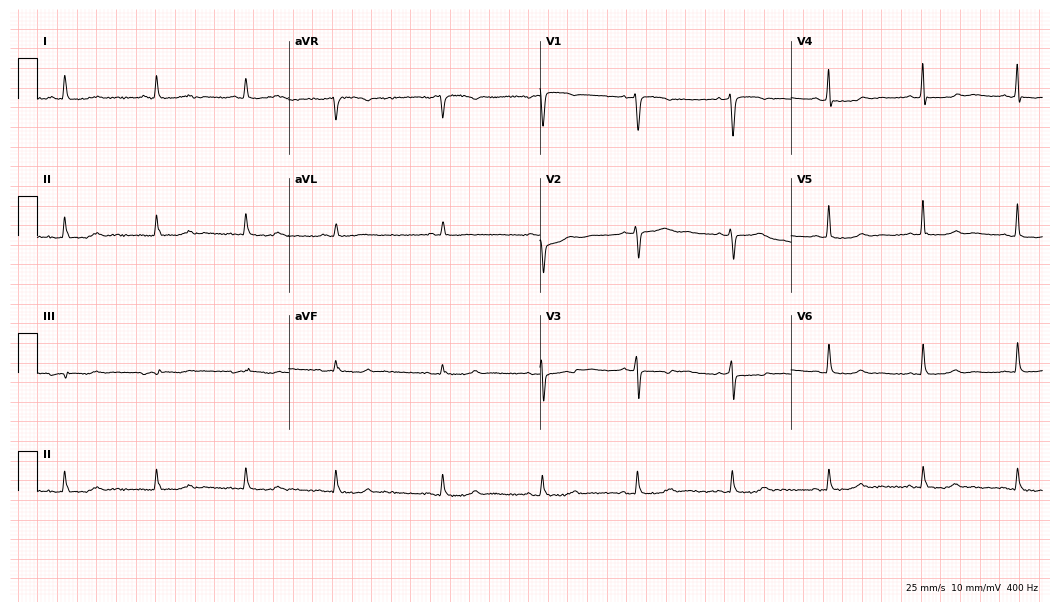
ECG — a 62-year-old female patient. Screened for six findings — first-degree AV block, right bundle branch block, left bundle branch block, sinus bradycardia, atrial fibrillation, sinus tachycardia — none is recorded. Only these six findings were labelled.